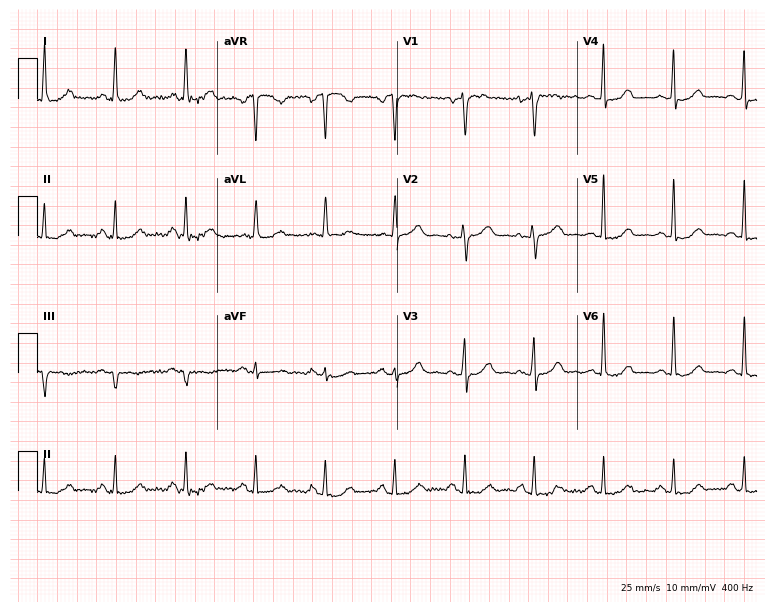
Resting 12-lead electrocardiogram (7.3-second recording at 400 Hz). Patient: a woman, 63 years old. None of these six findings is recorded: first-degree AV block, right bundle branch block, left bundle branch block, sinus bradycardia, atrial fibrillation, sinus tachycardia.